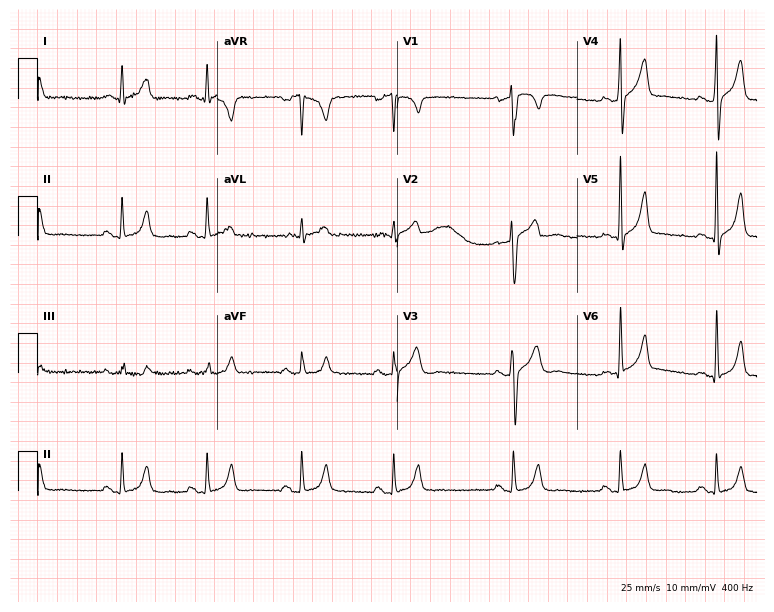
Standard 12-lead ECG recorded from a male, 32 years old. None of these six findings is recorded: first-degree AV block, right bundle branch block (RBBB), left bundle branch block (LBBB), sinus bradycardia, atrial fibrillation (AF), sinus tachycardia. Other findings, if any, are not listed.